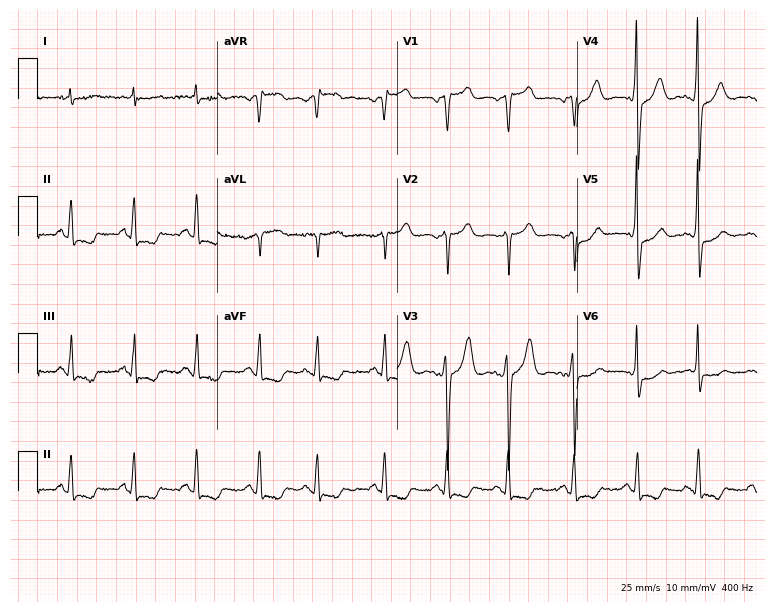
Resting 12-lead electrocardiogram (7.3-second recording at 400 Hz). Patient: a 74-year-old male. None of these six findings is recorded: first-degree AV block, right bundle branch block (RBBB), left bundle branch block (LBBB), sinus bradycardia, atrial fibrillation (AF), sinus tachycardia. Only these six findings were labelled.